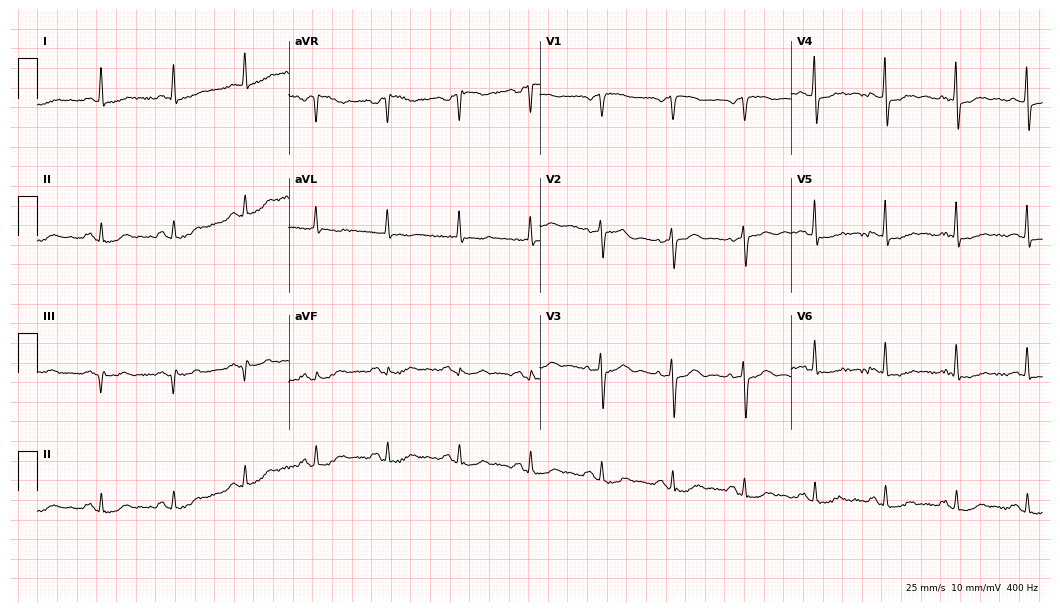
Standard 12-lead ECG recorded from a female, 62 years old. None of these six findings is recorded: first-degree AV block, right bundle branch block, left bundle branch block, sinus bradycardia, atrial fibrillation, sinus tachycardia. Other findings, if any, are not listed.